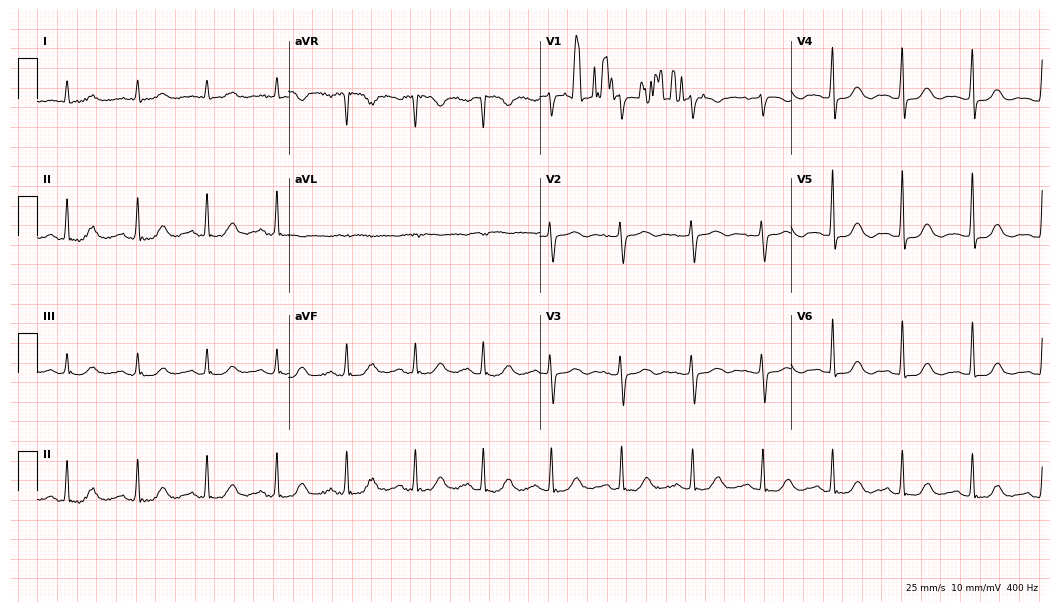
12-lead ECG from a 62-year-old woman (10.2-second recording at 400 Hz). No first-degree AV block, right bundle branch block (RBBB), left bundle branch block (LBBB), sinus bradycardia, atrial fibrillation (AF) or sinus tachycardia recorded for this tracing. Only these six findings were labelled.